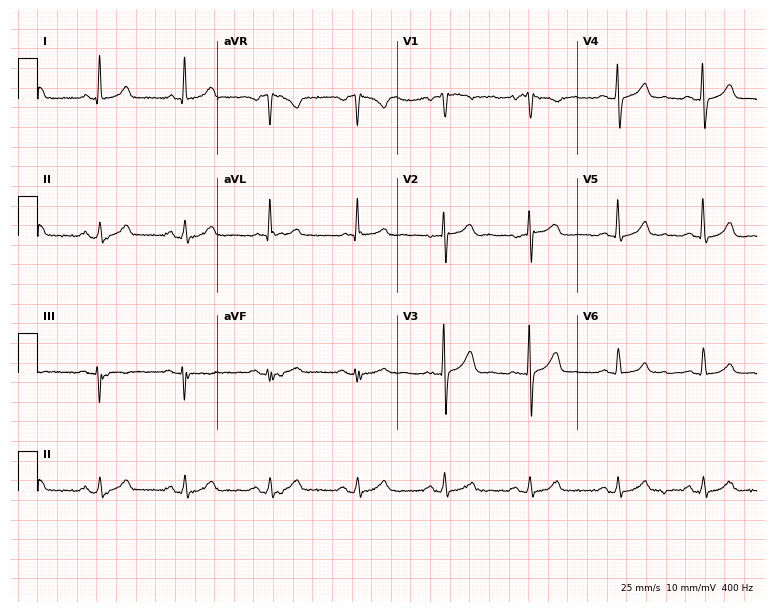
Resting 12-lead electrocardiogram. Patient: a 63-year-old woman. Read as a normal ECG.